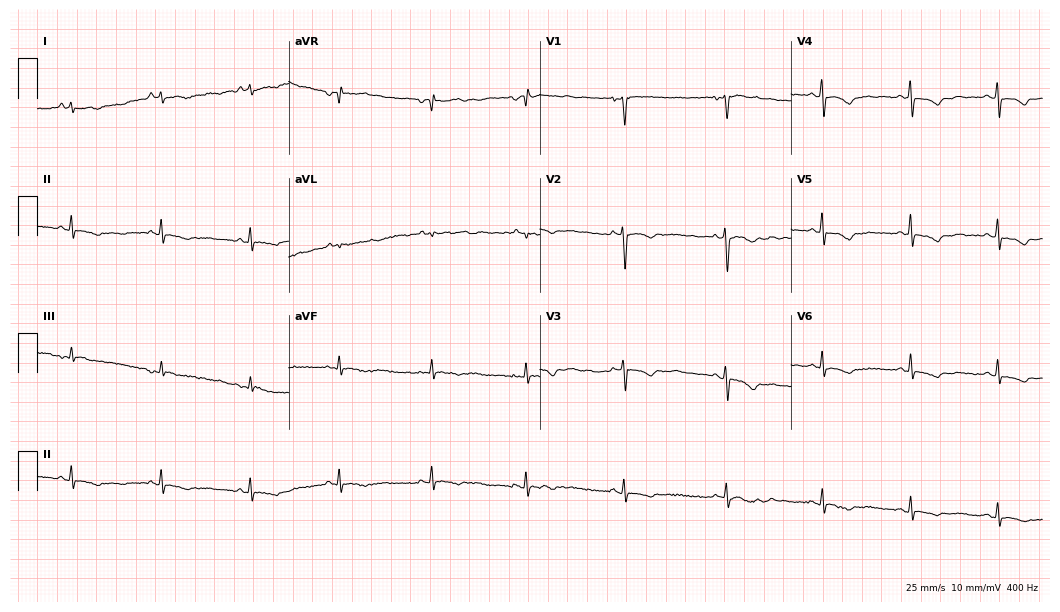
Standard 12-lead ECG recorded from a man, 36 years old. None of these six findings is recorded: first-degree AV block, right bundle branch block (RBBB), left bundle branch block (LBBB), sinus bradycardia, atrial fibrillation (AF), sinus tachycardia.